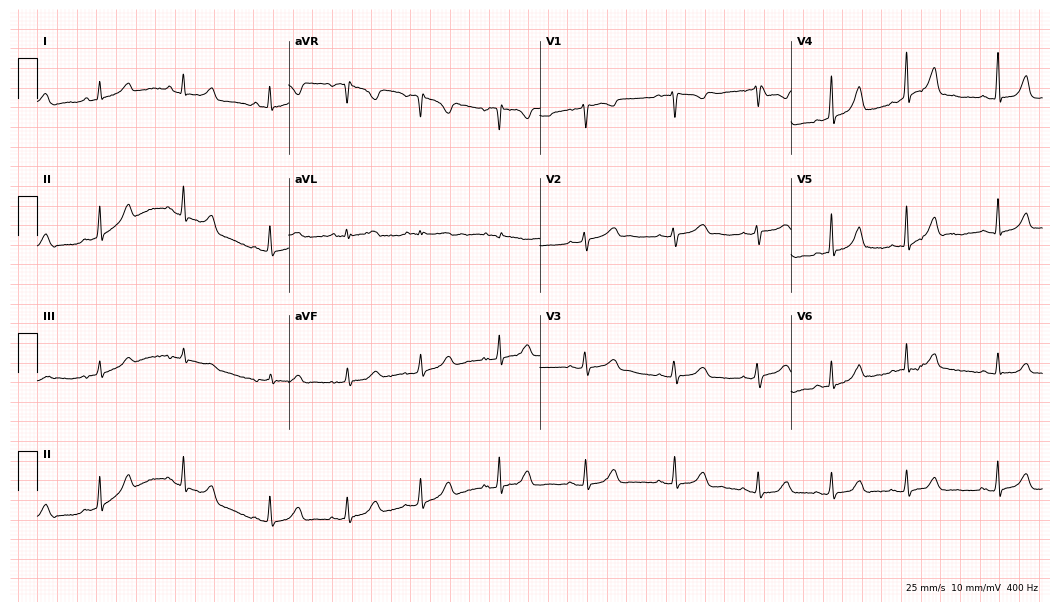
Resting 12-lead electrocardiogram. Patient: a female, 40 years old. Read as a normal ECG.